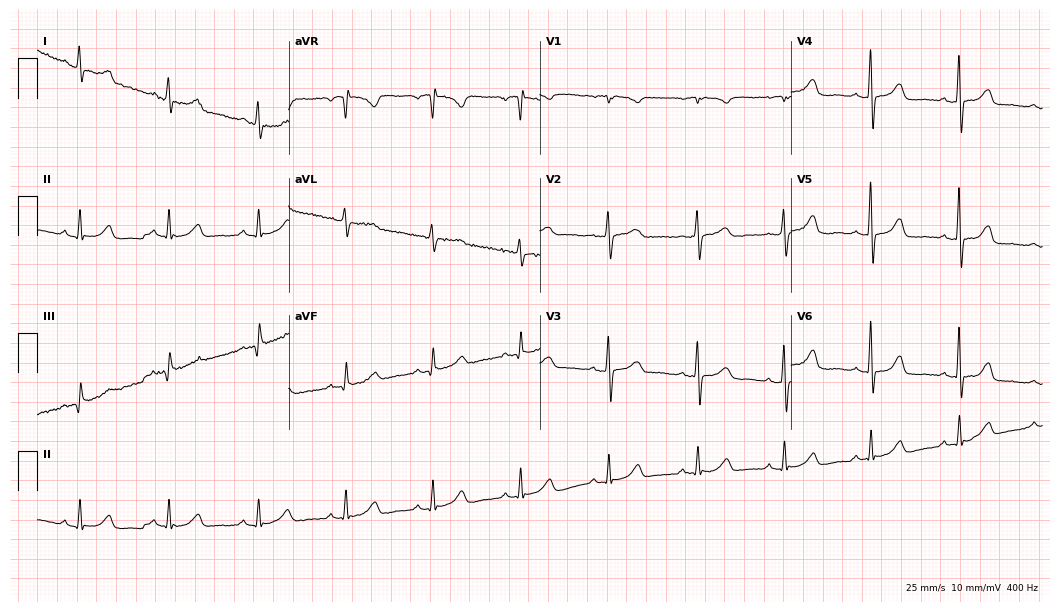
ECG — a female, 62 years old. Labelled as a normal ECG.